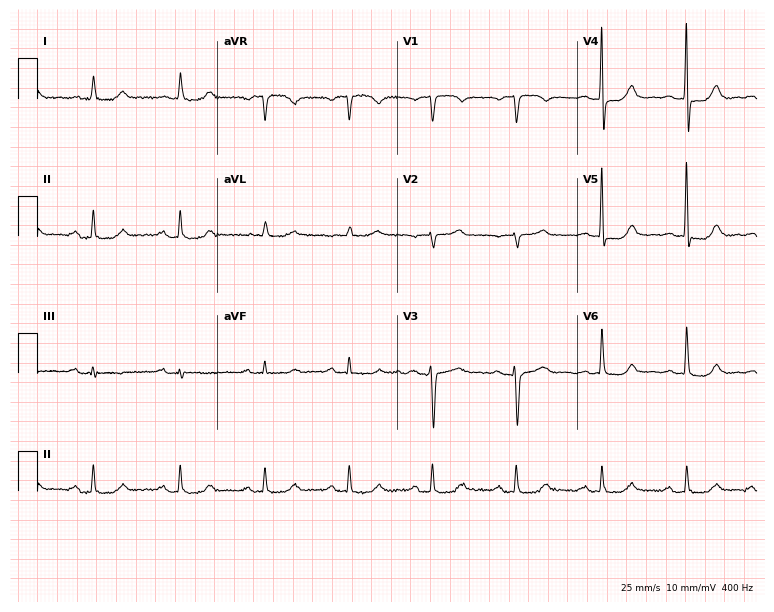
Electrocardiogram, a 71-year-old female patient. Overall reading on record: normal ECG.